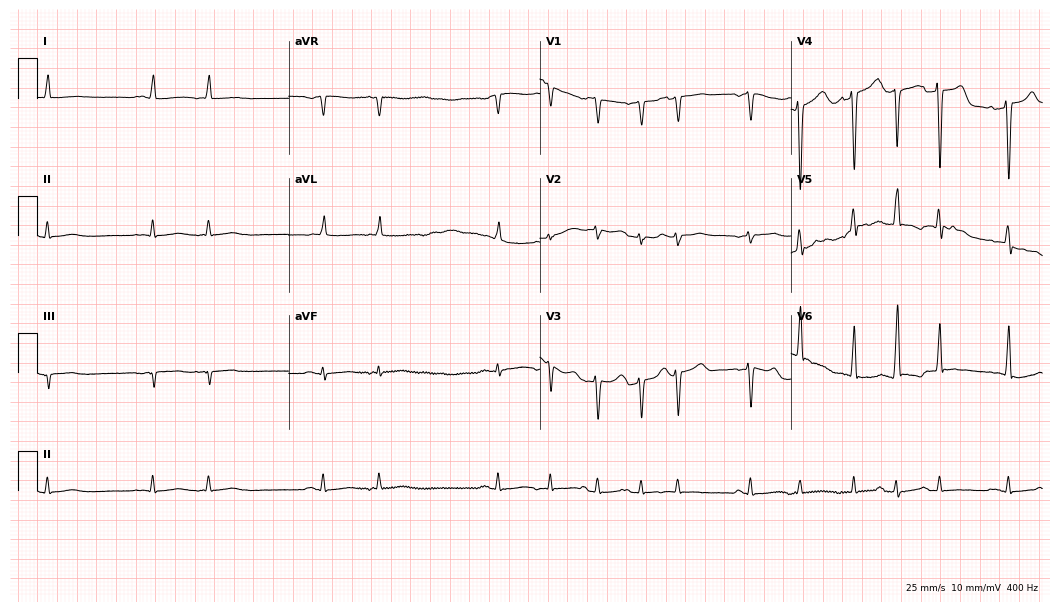
Electrocardiogram, a male, 85 years old. Of the six screened findings (first-degree AV block, right bundle branch block, left bundle branch block, sinus bradycardia, atrial fibrillation, sinus tachycardia), none is recorded.